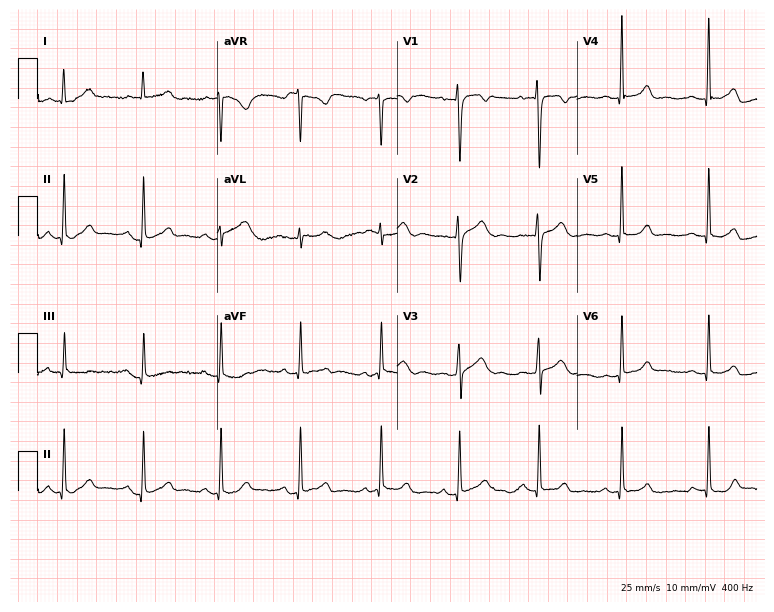
Resting 12-lead electrocardiogram. Patient: a female, 27 years old. None of these six findings is recorded: first-degree AV block, right bundle branch block, left bundle branch block, sinus bradycardia, atrial fibrillation, sinus tachycardia. Only these six findings were labelled.